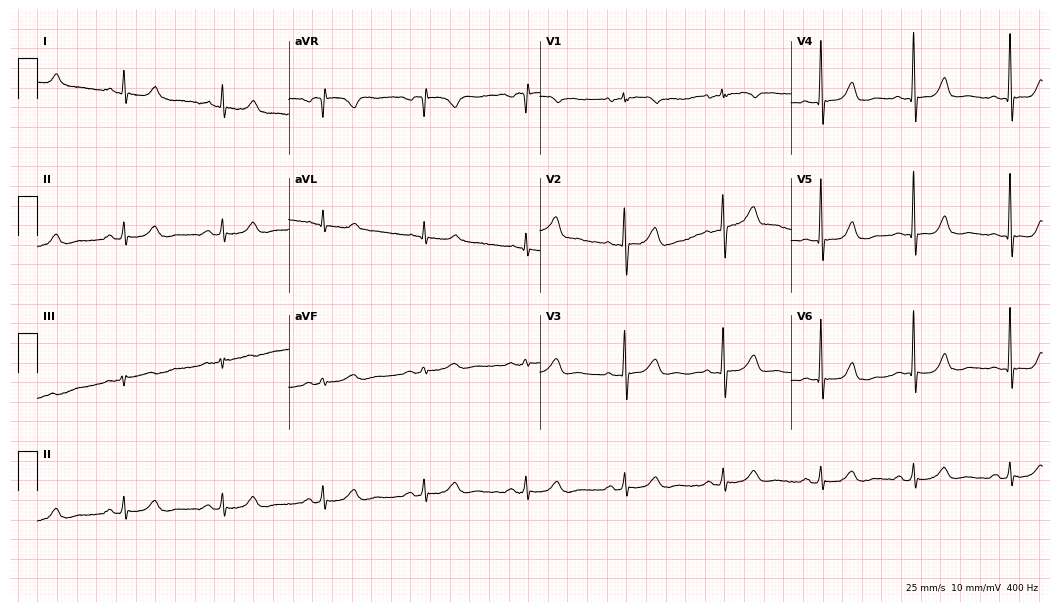
Standard 12-lead ECG recorded from a woman, 81 years old (10.2-second recording at 400 Hz). Read as a normal ECG.